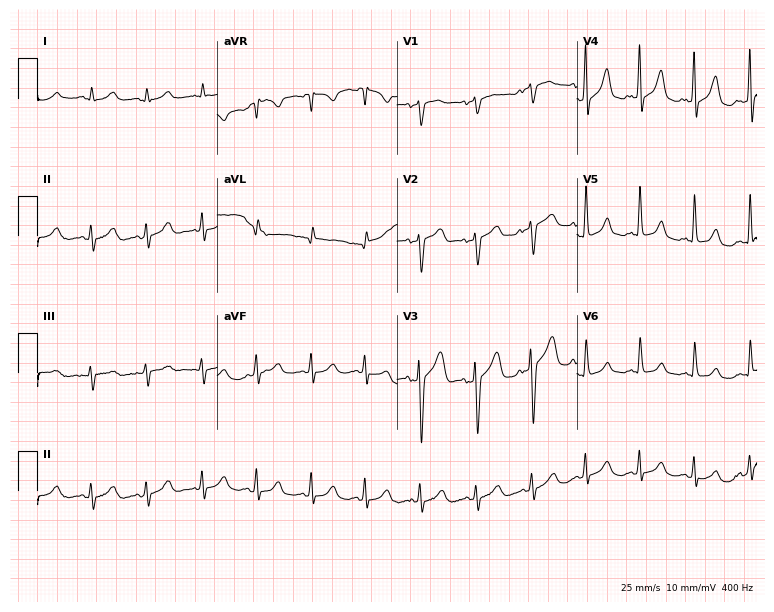
12-lead ECG (7.3-second recording at 400 Hz) from a female, 74 years old. Findings include sinus tachycardia (a sinus rate of 100 beats per minute or more).